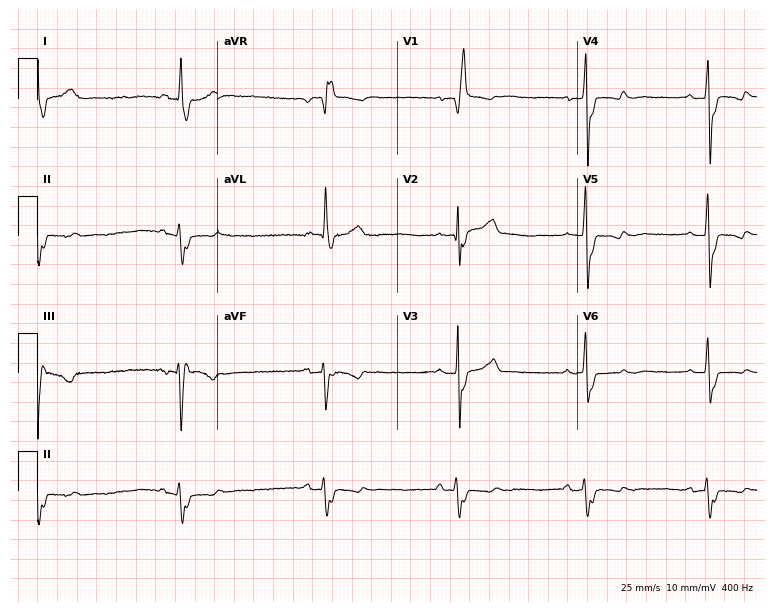
Standard 12-lead ECG recorded from a male patient, 71 years old (7.3-second recording at 400 Hz). The tracing shows right bundle branch block, sinus bradycardia (a sinus rate of 50 beats per minute or less).